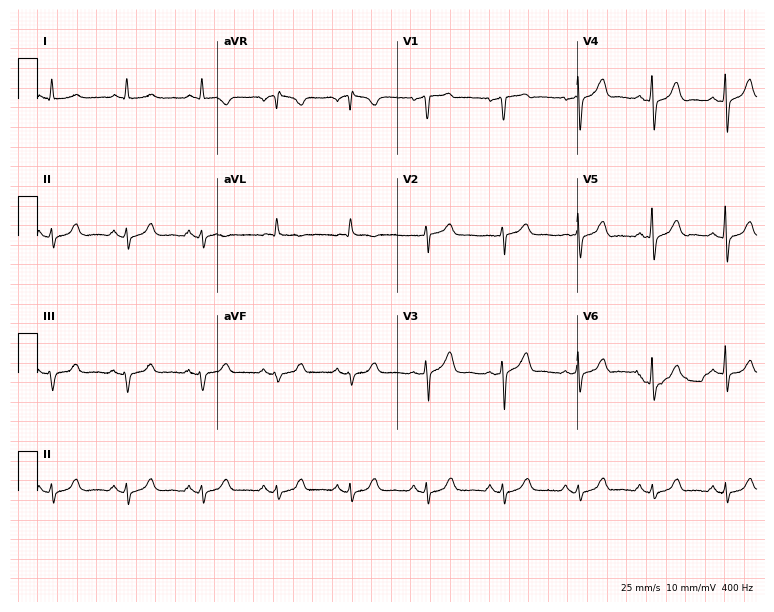
Resting 12-lead electrocardiogram (7.3-second recording at 400 Hz). Patient: a male, 79 years old. None of these six findings is recorded: first-degree AV block, right bundle branch block, left bundle branch block, sinus bradycardia, atrial fibrillation, sinus tachycardia. Other findings, if any, are not listed.